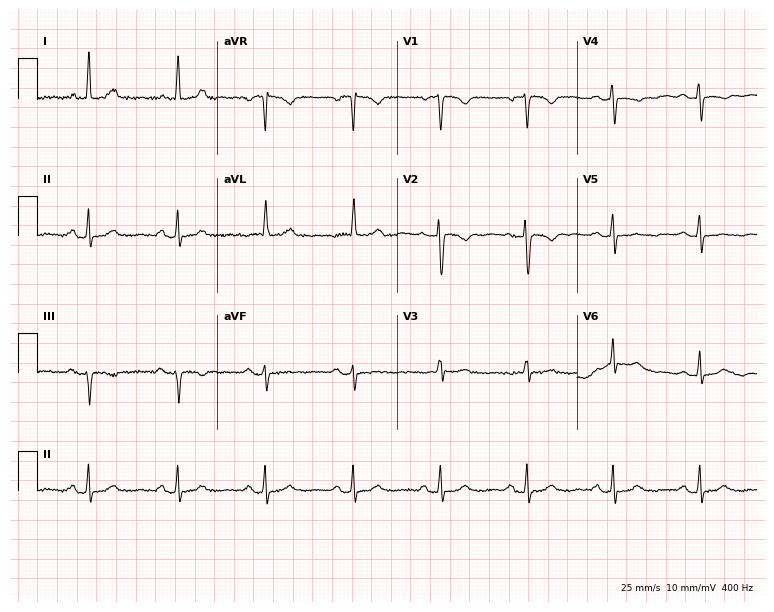
12-lead ECG from a 69-year-old woman. No first-degree AV block, right bundle branch block, left bundle branch block, sinus bradycardia, atrial fibrillation or sinus tachycardia recorded for this tracing. Only these six findings were labelled.